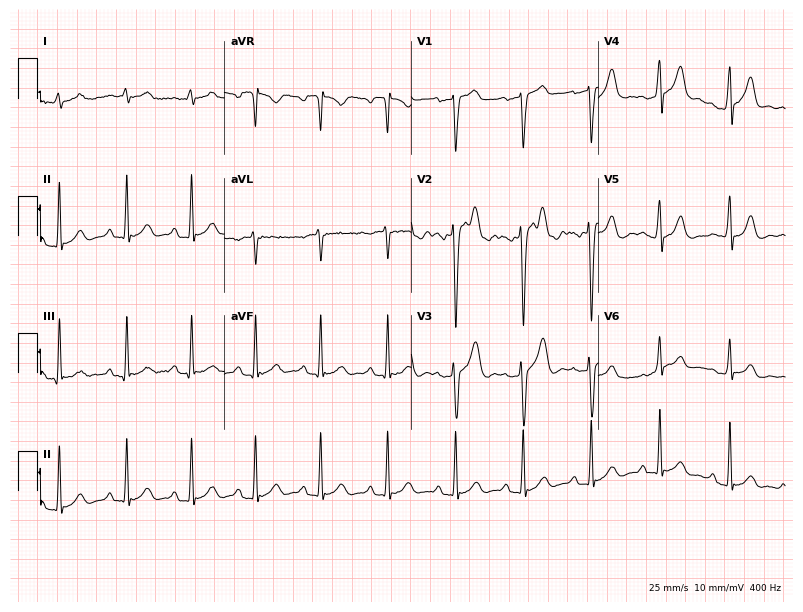
Standard 12-lead ECG recorded from a man, 25 years old (7.6-second recording at 400 Hz). None of these six findings is recorded: first-degree AV block, right bundle branch block (RBBB), left bundle branch block (LBBB), sinus bradycardia, atrial fibrillation (AF), sinus tachycardia.